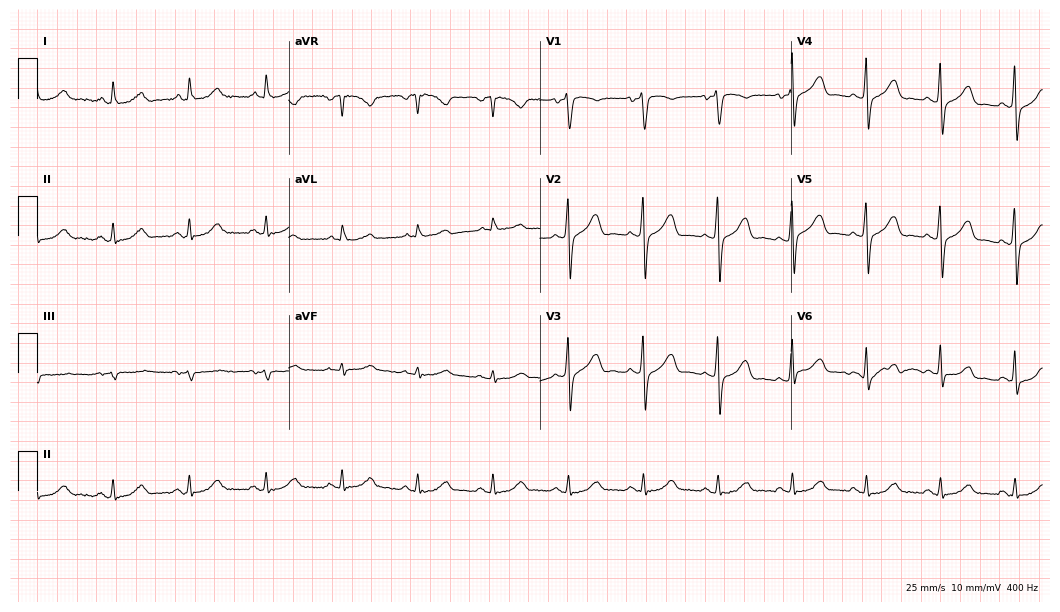
Resting 12-lead electrocardiogram (10.2-second recording at 400 Hz). Patient: a male, 73 years old. None of these six findings is recorded: first-degree AV block, right bundle branch block, left bundle branch block, sinus bradycardia, atrial fibrillation, sinus tachycardia.